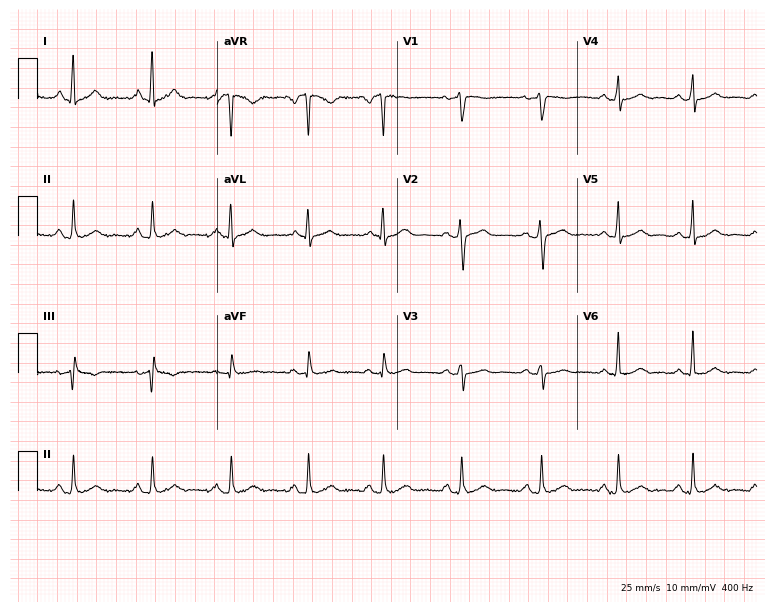
Standard 12-lead ECG recorded from a 39-year-old woman. Read as a normal ECG.